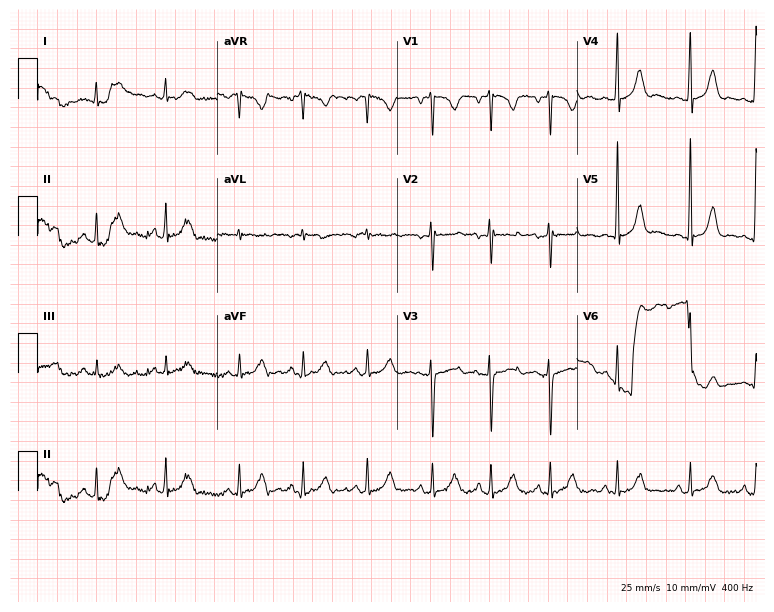
Electrocardiogram, a 17-year-old woman. Of the six screened findings (first-degree AV block, right bundle branch block (RBBB), left bundle branch block (LBBB), sinus bradycardia, atrial fibrillation (AF), sinus tachycardia), none is recorded.